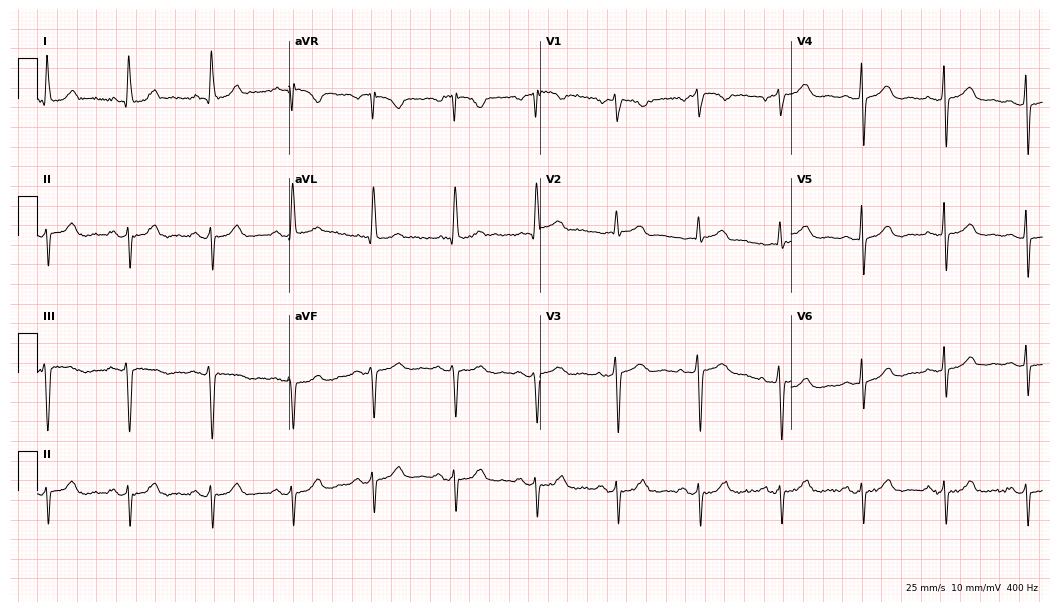
12-lead ECG from a female patient, 65 years old. No first-degree AV block, right bundle branch block, left bundle branch block, sinus bradycardia, atrial fibrillation or sinus tachycardia recorded for this tracing. Other findings, if any, are not listed.